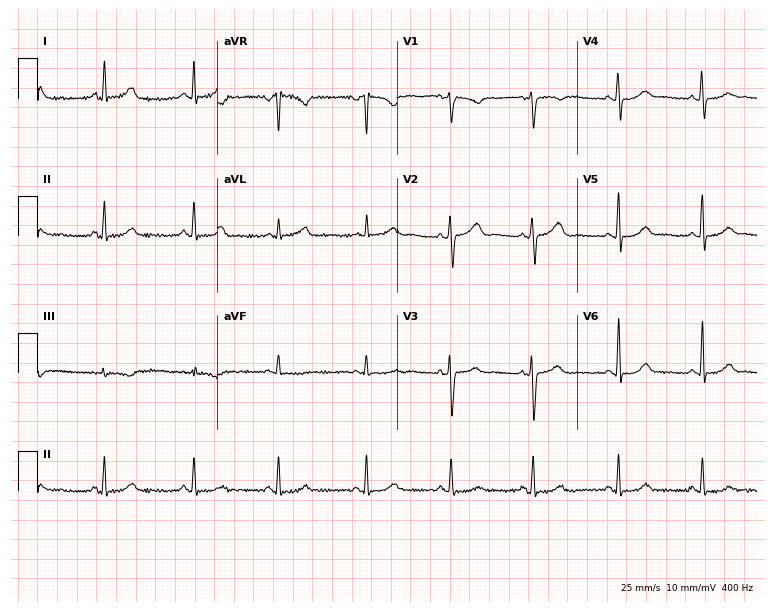
Standard 12-lead ECG recorded from a 47-year-old female. Read as a normal ECG.